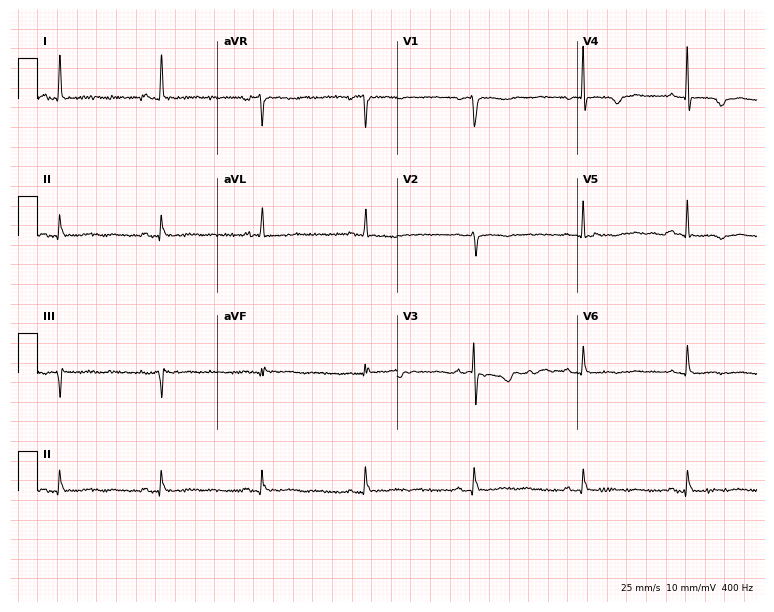
12-lead ECG (7.3-second recording at 400 Hz) from a female patient, 74 years old. Screened for six findings — first-degree AV block, right bundle branch block, left bundle branch block, sinus bradycardia, atrial fibrillation, sinus tachycardia — none is recorded. Findings outside these six are not listed.